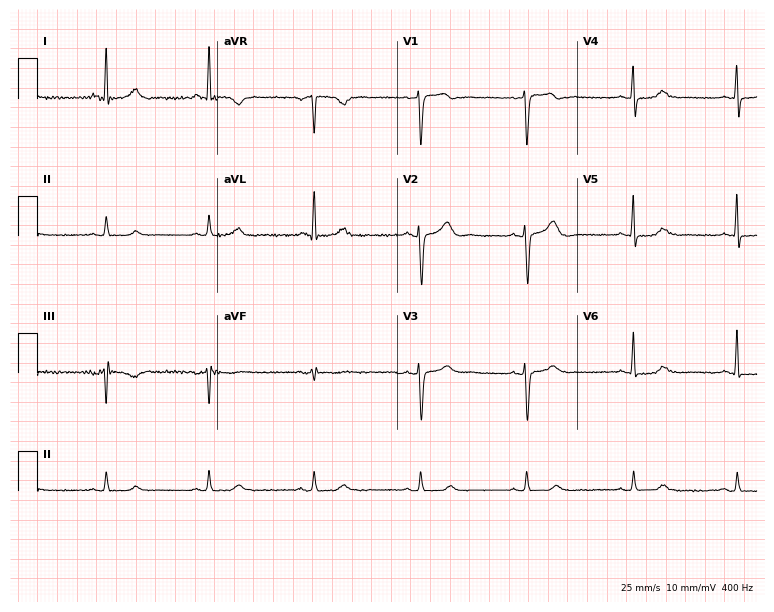
ECG (7.3-second recording at 400 Hz) — a woman, 51 years old. Labelled as a normal ECG.